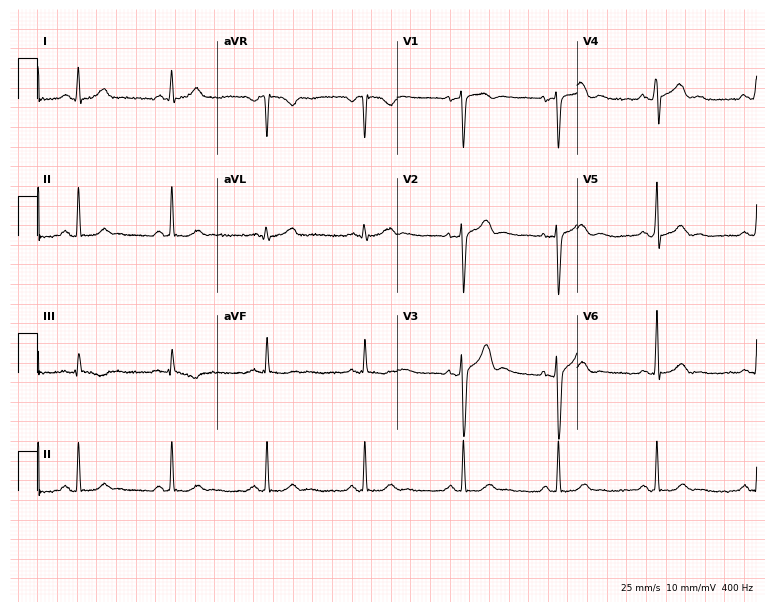
ECG — a man, 81 years old. Labelled as a normal ECG.